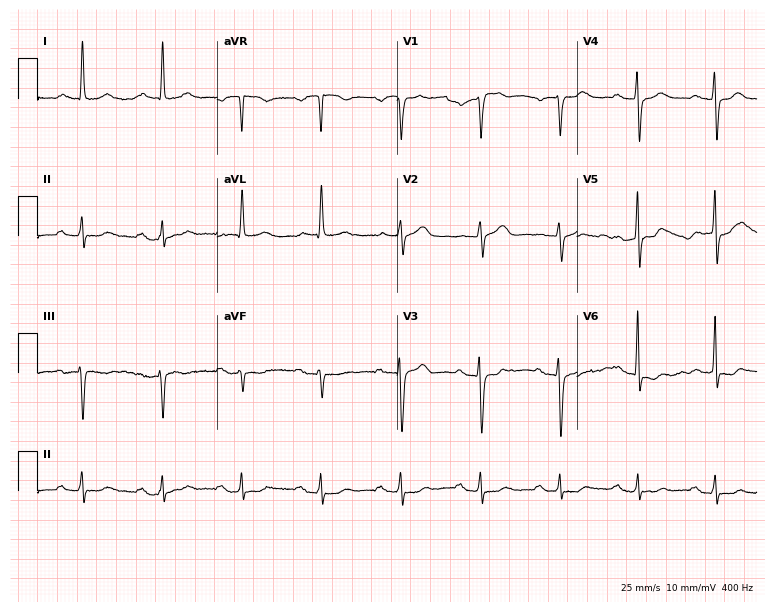
ECG (7.3-second recording at 400 Hz) — a man, 72 years old. Labelled as a normal ECG.